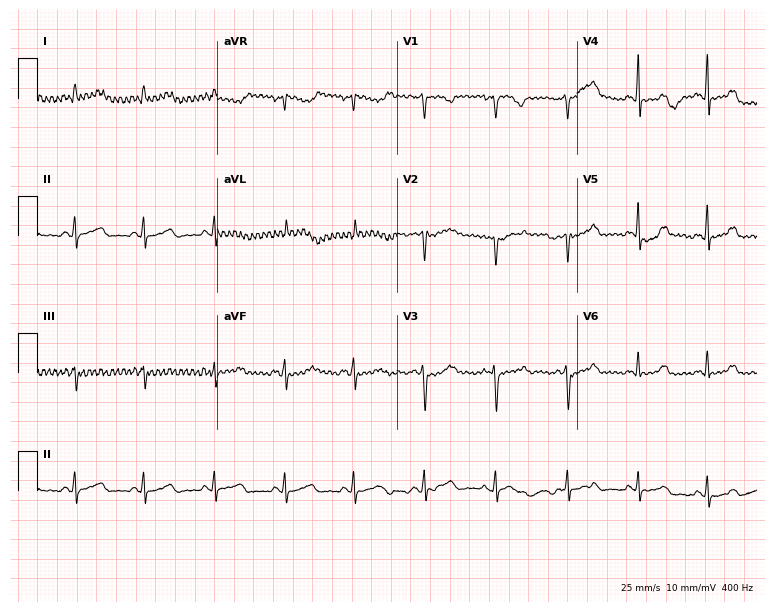
12-lead ECG from a 27-year-old female (7.3-second recording at 400 Hz). No first-degree AV block, right bundle branch block (RBBB), left bundle branch block (LBBB), sinus bradycardia, atrial fibrillation (AF) or sinus tachycardia recorded for this tracing.